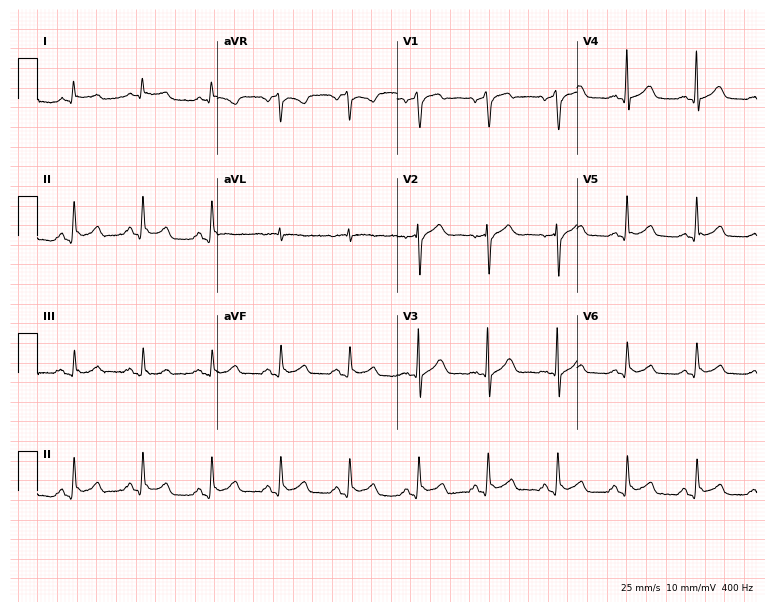
ECG — a male, 66 years old. Labelled as a normal ECG.